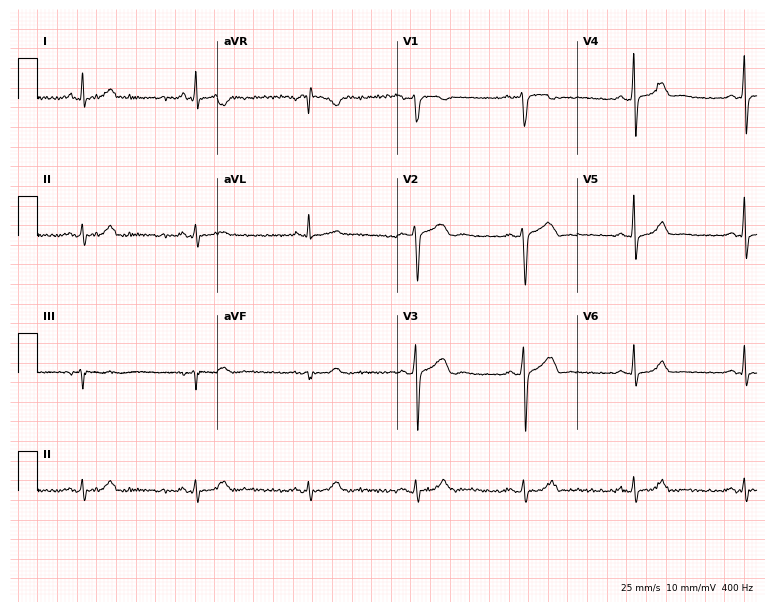
12-lead ECG (7.3-second recording at 400 Hz) from a male, 42 years old. Screened for six findings — first-degree AV block, right bundle branch block, left bundle branch block, sinus bradycardia, atrial fibrillation, sinus tachycardia — none is recorded.